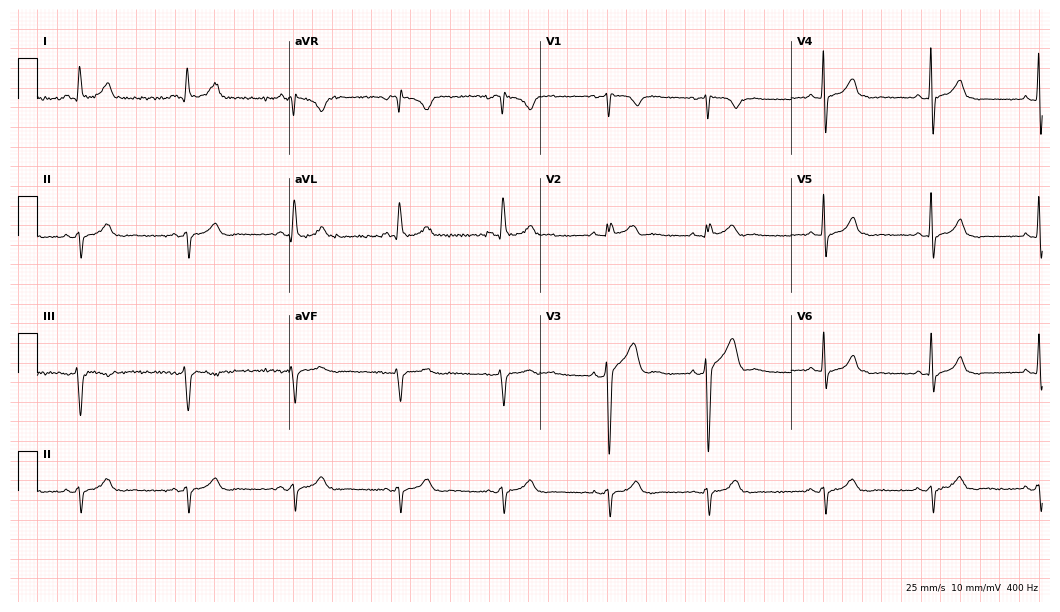
Resting 12-lead electrocardiogram. Patient: a man, 59 years old. None of these six findings is recorded: first-degree AV block, right bundle branch block (RBBB), left bundle branch block (LBBB), sinus bradycardia, atrial fibrillation (AF), sinus tachycardia.